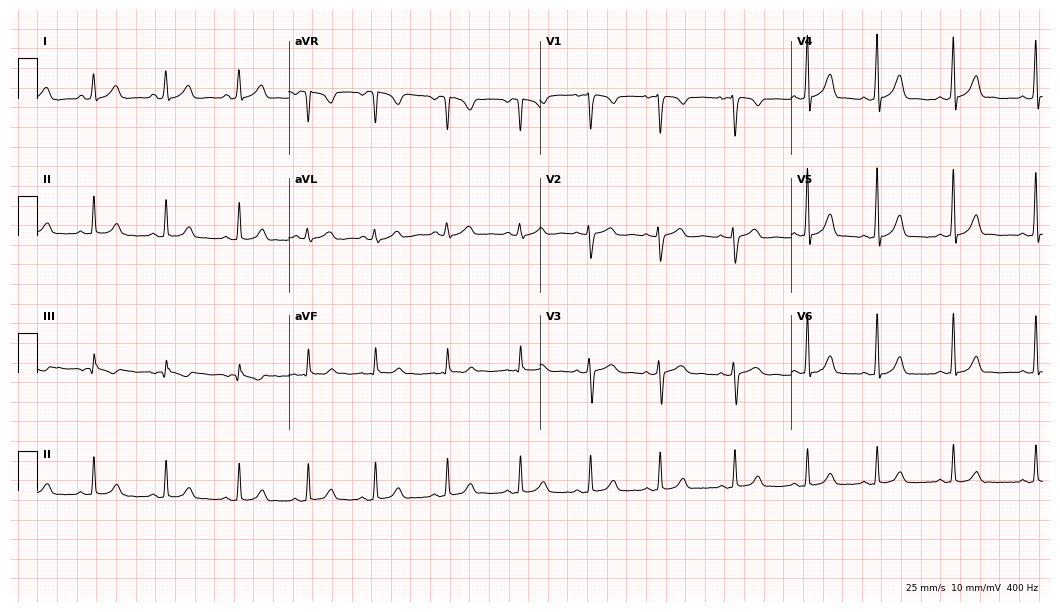
12-lead ECG from a female, 33 years old. Labelled as a normal ECG.